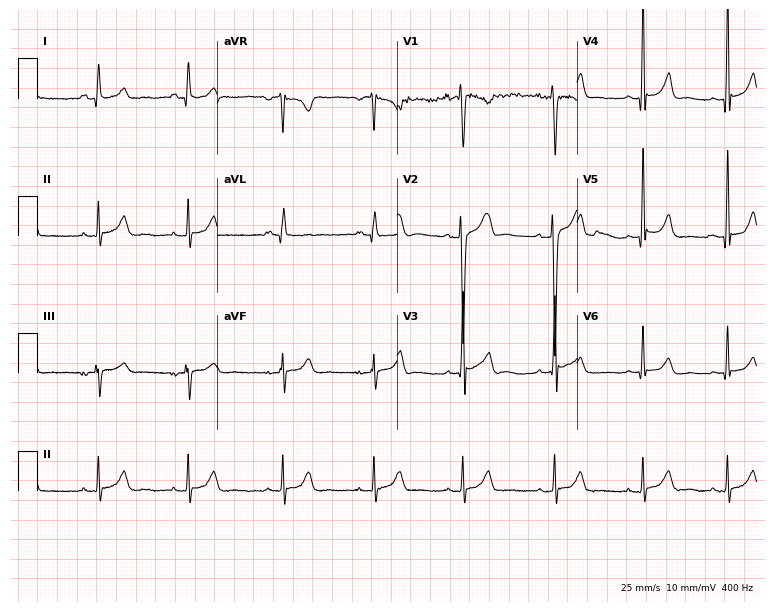
ECG (7.3-second recording at 400 Hz) — a man, 19 years old. Labelled as a normal ECG.